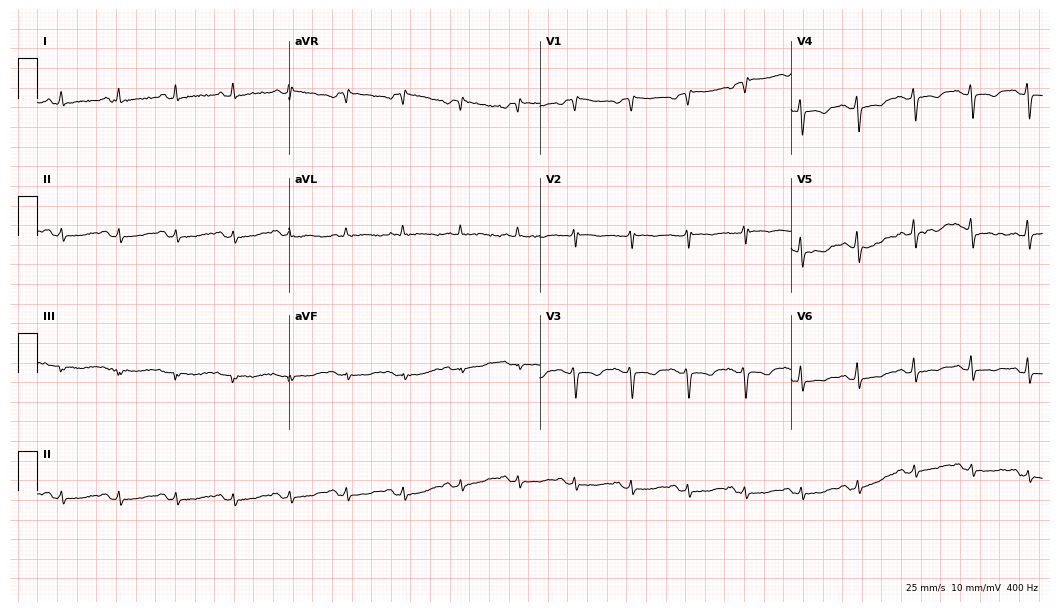
Standard 12-lead ECG recorded from a female patient, 51 years old. The tracing shows sinus tachycardia (a sinus rate of 100 beats per minute or more).